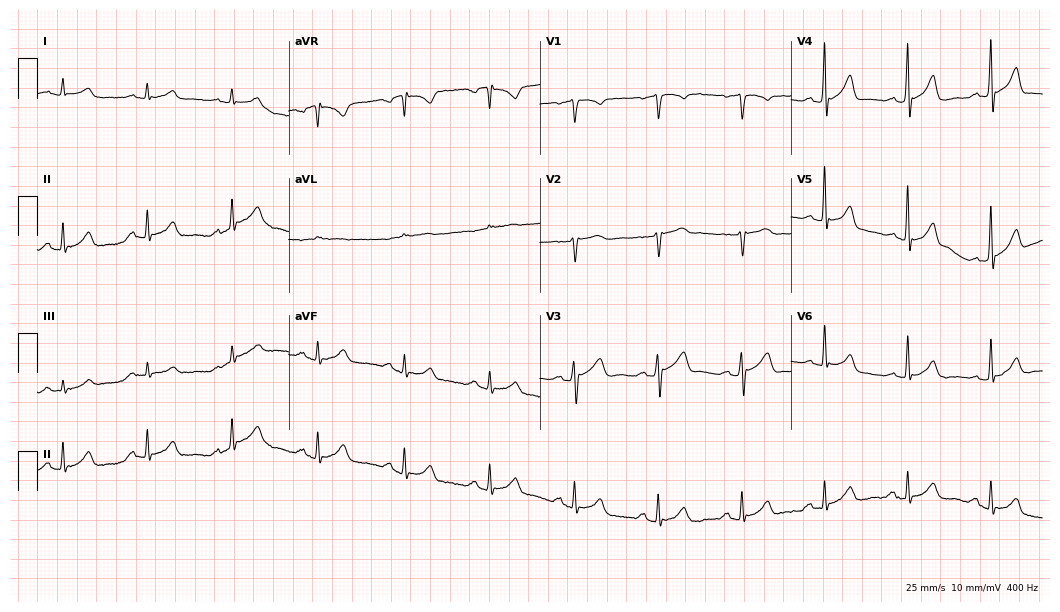
Standard 12-lead ECG recorded from a male, 67 years old. Read as a normal ECG.